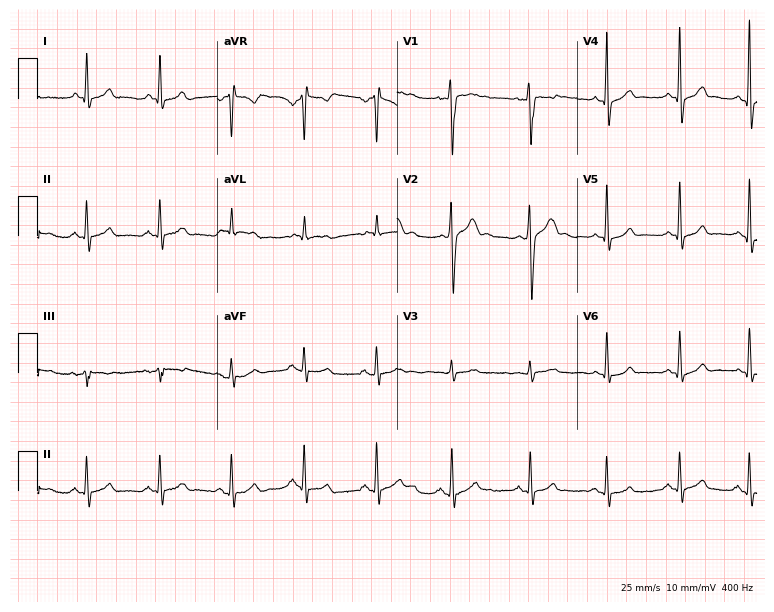
ECG (7.3-second recording at 400 Hz) — a male, 25 years old. Labelled as a normal ECG.